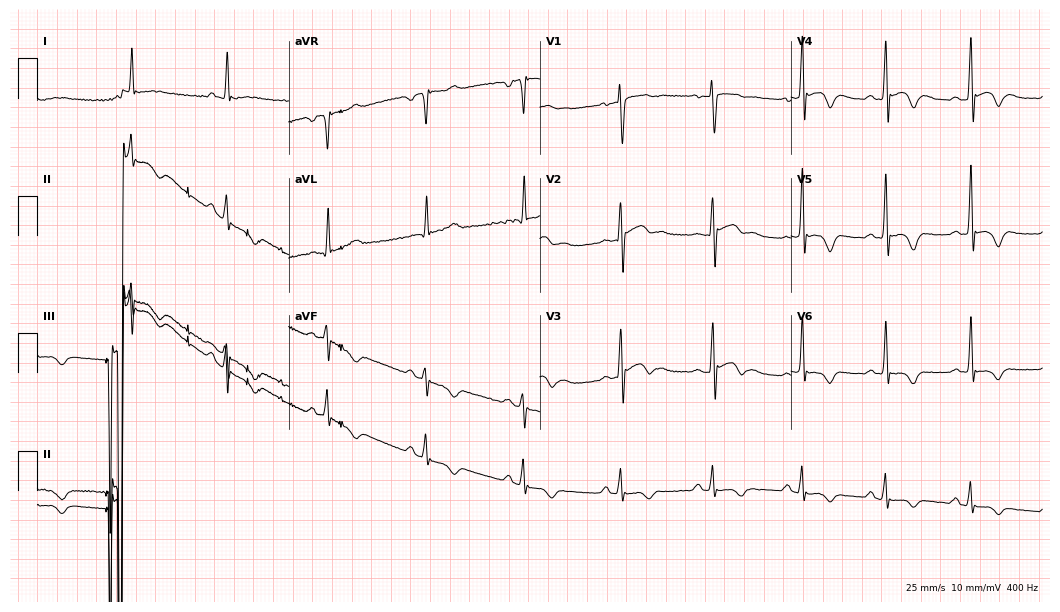
12-lead ECG (10.2-second recording at 400 Hz) from a man, 40 years old. Screened for six findings — first-degree AV block, right bundle branch block, left bundle branch block, sinus bradycardia, atrial fibrillation, sinus tachycardia — none is recorded.